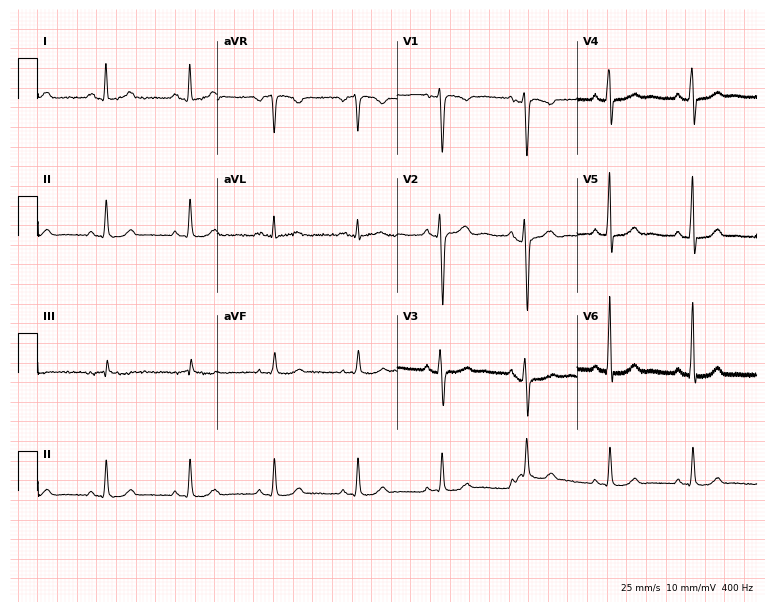
Resting 12-lead electrocardiogram. Patient: a male, 44 years old. None of these six findings is recorded: first-degree AV block, right bundle branch block (RBBB), left bundle branch block (LBBB), sinus bradycardia, atrial fibrillation (AF), sinus tachycardia. Other findings, if any, are not listed.